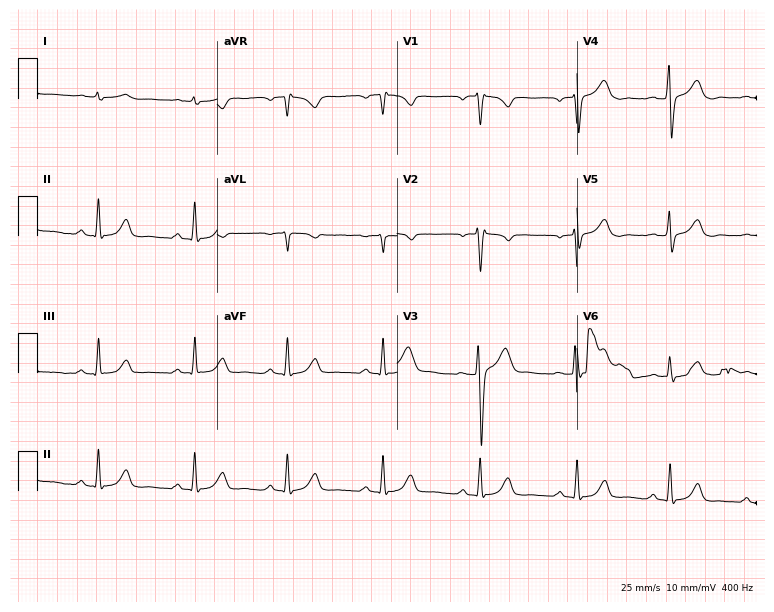
Standard 12-lead ECG recorded from a male patient, 60 years old (7.3-second recording at 400 Hz). None of these six findings is recorded: first-degree AV block, right bundle branch block, left bundle branch block, sinus bradycardia, atrial fibrillation, sinus tachycardia.